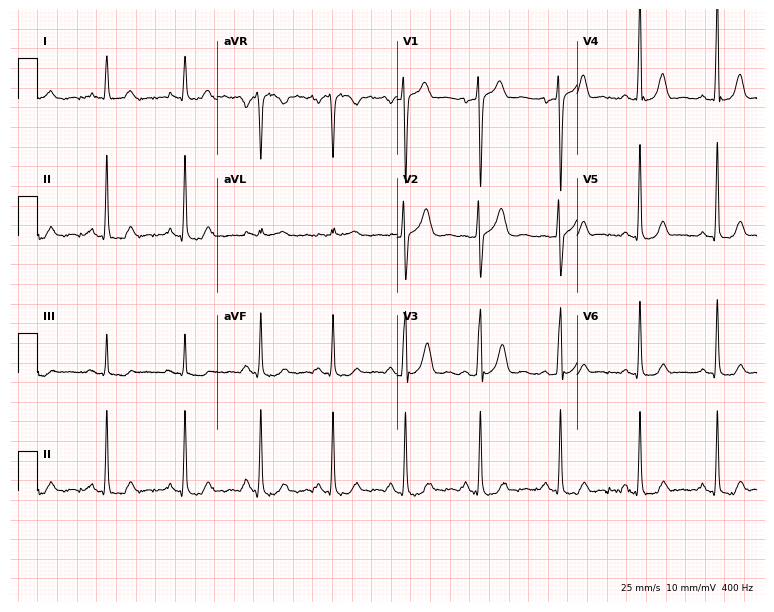
Resting 12-lead electrocardiogram. Patient: a male, 54 years old. Read as a normal ECG.